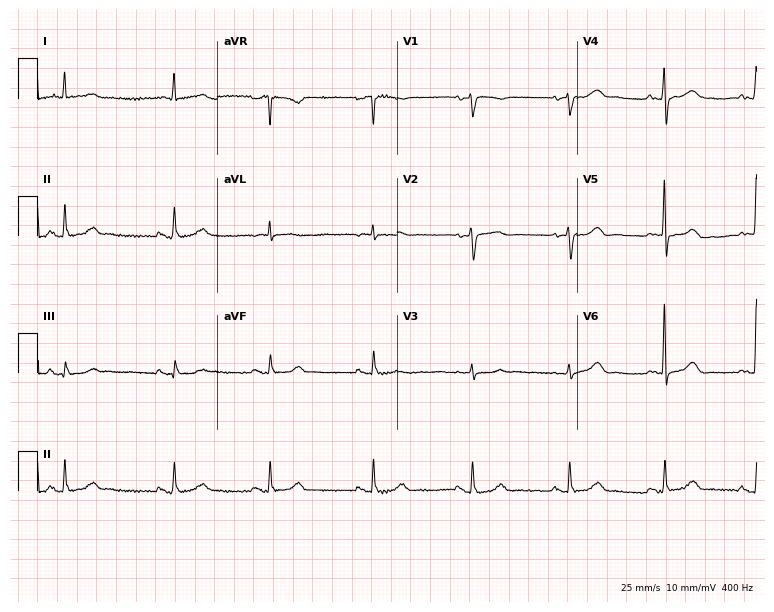
ECG — a female patient, 81 years old. Labelled as a normal ECG.